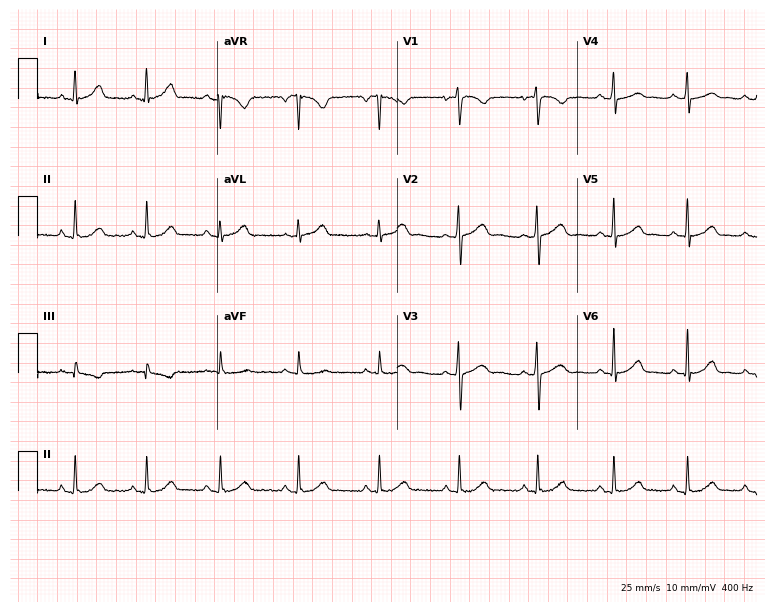
12-lead ECG from a 31-year-old female patient (7.3-second recording at 400 Hz). Recorded interpretation: within normal limits.